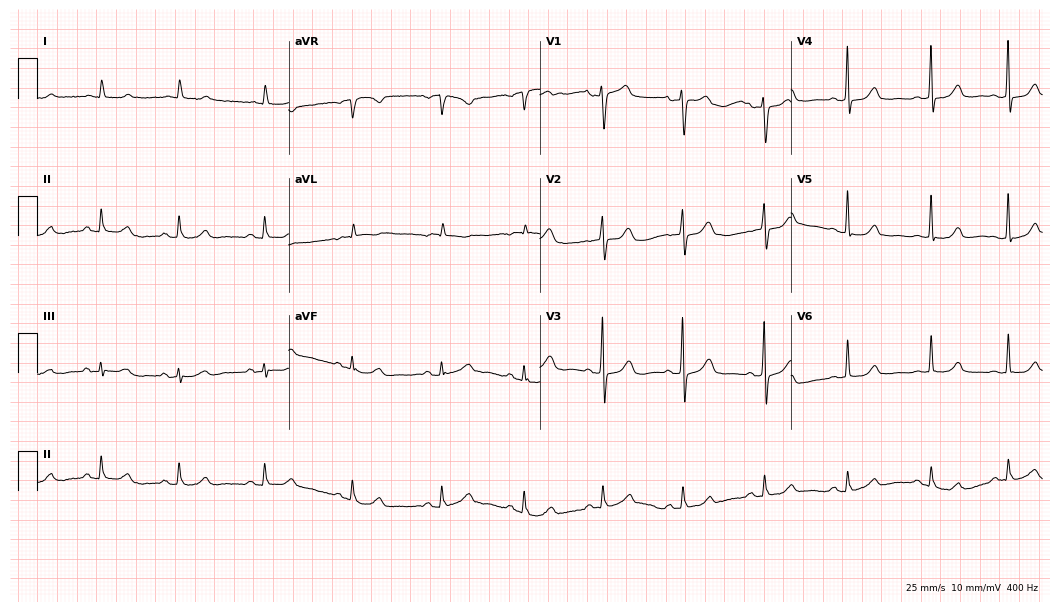
Standard 12-lead ECG recorded from an 82-year-old female patient (10.2-second recording at 400 Hz). Read as a normal ECG.